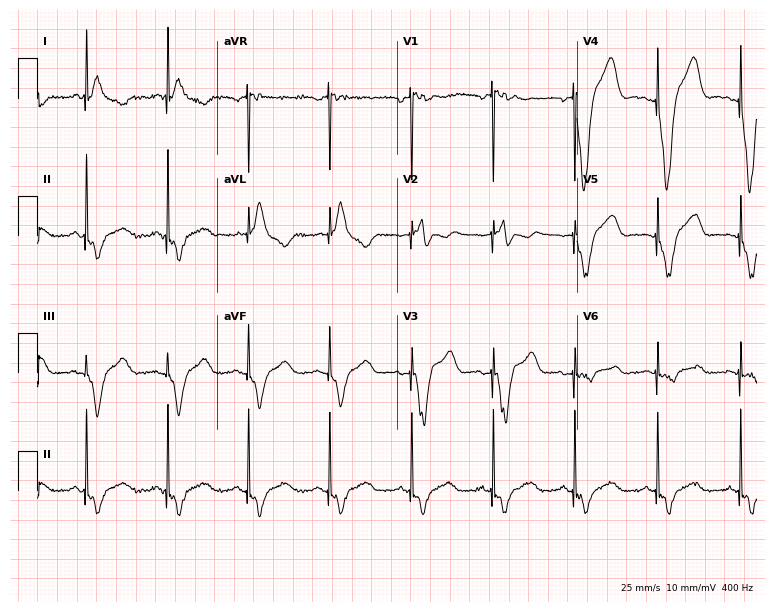
Standard 12-lead ECG recorded from a male patient, 49 years old. None of these six findings is recorded: first-degree AV block, right bundle branch block, left bundle branch block, sinus bradycardia, atrial fibrillation, sinus tachycardia.